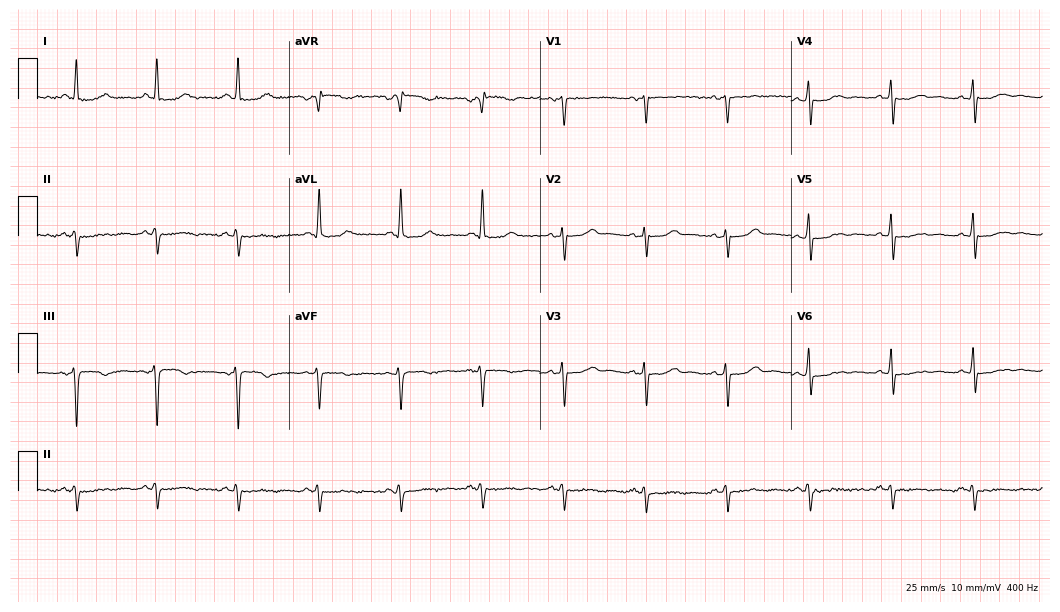
Standard 12-lead ECG recorded from a 47-year-old woman (10.2-second recording at 400 Hz). None of these six findings is recorded: first-degree AV block, right bundle branch block, left bundle branch block, sinus bradycardia, atrial fibrillation, sinus tachycardia.